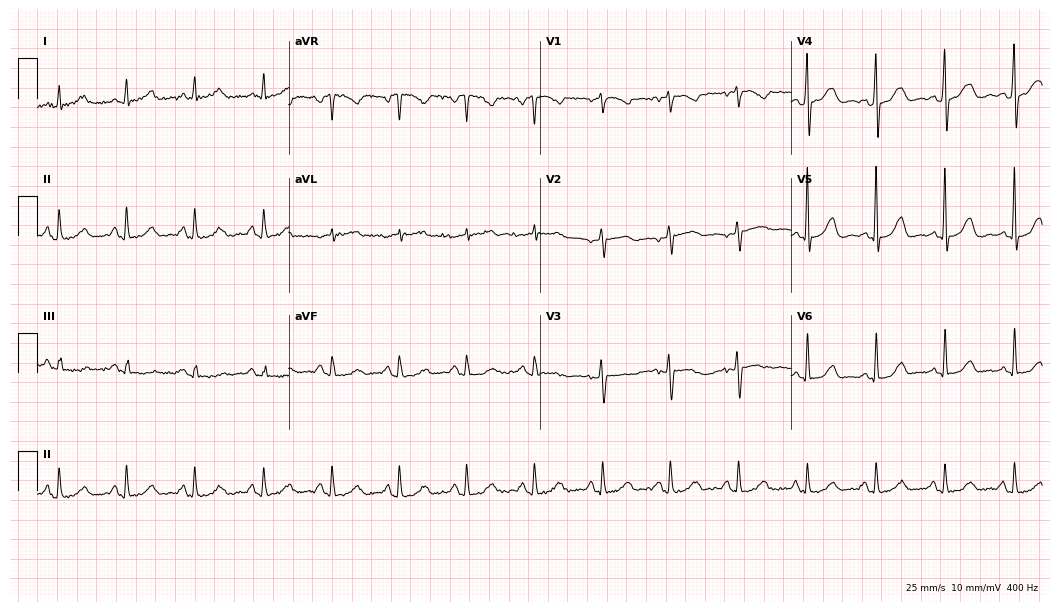
ECG (10.2-second recording at 400 Hz) — a 77-year-old woman. Labelled as a normal ECG.